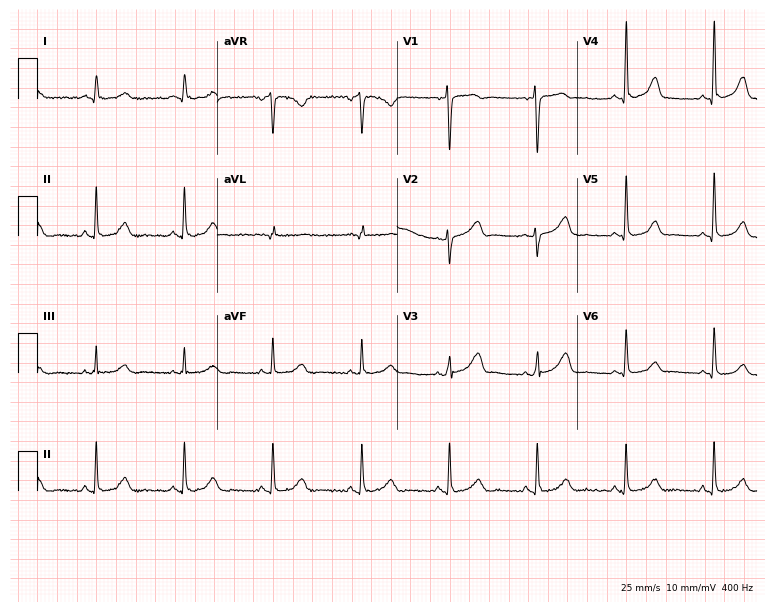
Electrocardiogram (7.3-second recording at 400 Hz), a 46-year-old woman. Overall reading on record: normal ECG.